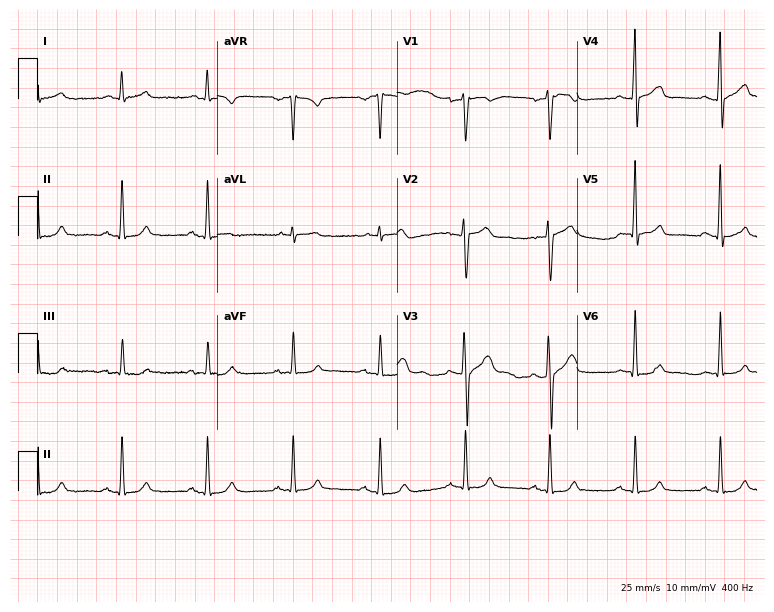
ECG — a male patient, 43 years old. Screened for six findings — first-degree AV block, right bundle branch block, left bundle branch block, sinus bradycardia, atrial fibrillation, sinus tachycardia — none is recorded.